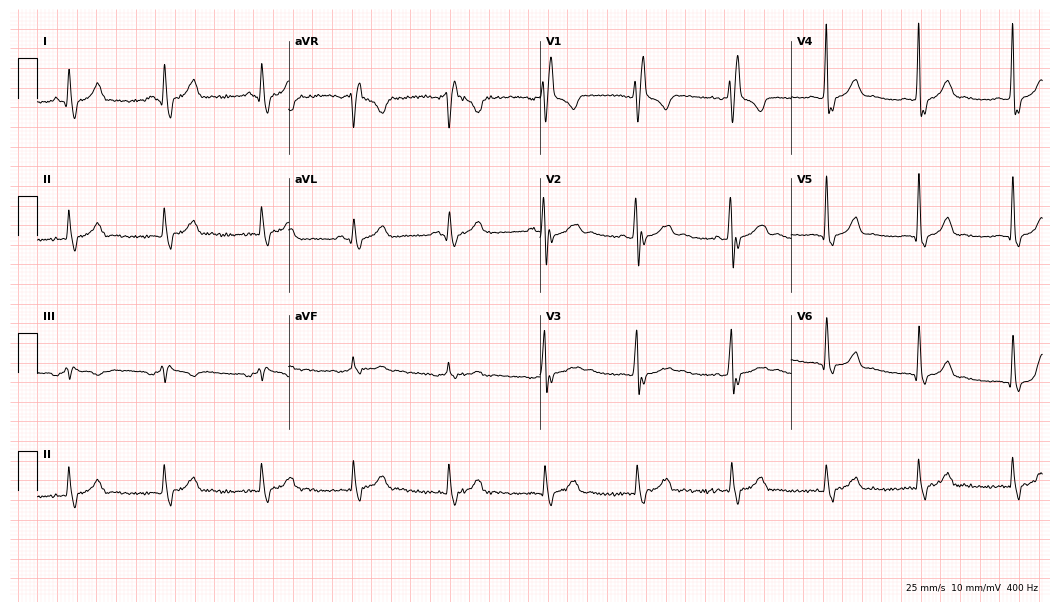
Resting 12-lead electrocardiogram. Patient: a male, 36 years old. The tracing shows right bundle branch block.